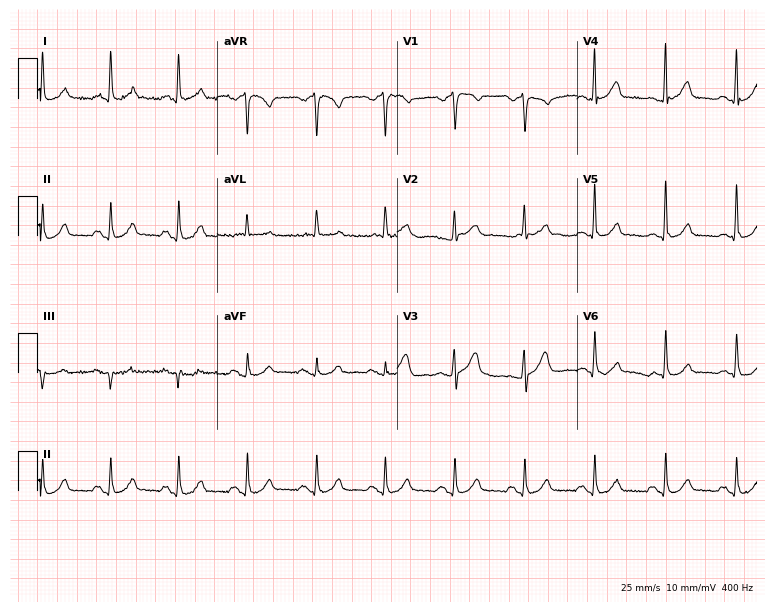
Resting 12-lead electrocardiogram. Patient: a male, 63 years old. Read as a normal ECG.